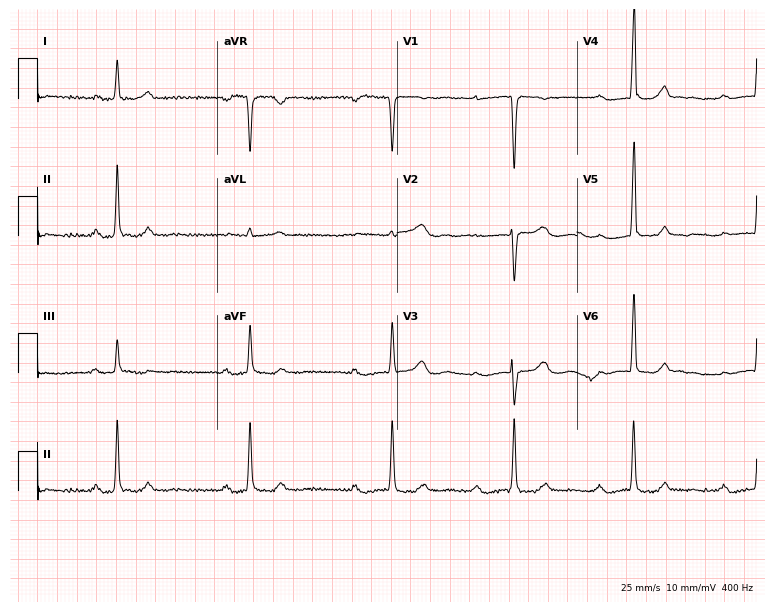
Electrocardiogram, a woman, 61 years old. Interpretation includes first-degree AV block.